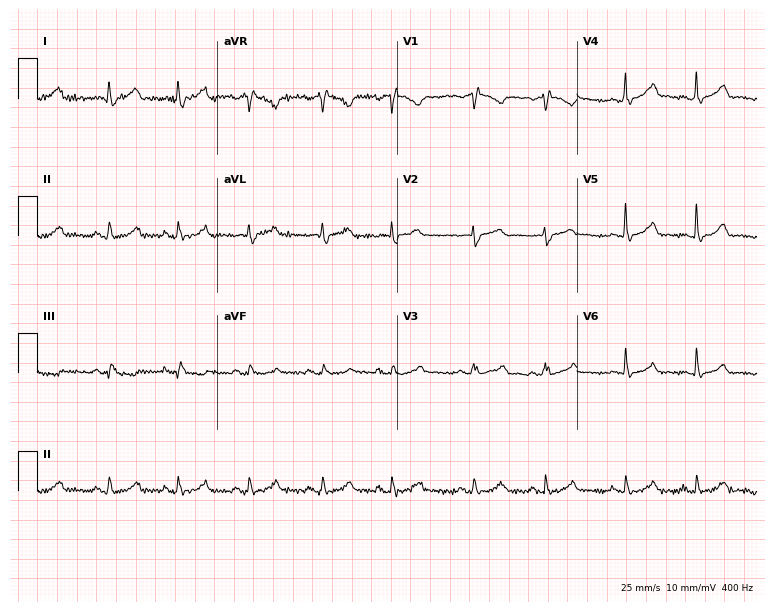
Standard 12-lead ECG recorded from a 69-year-old man (7.3-second recording at 400 Hz). None of these six findings is recorded: first-degree AV block, right bundle branch block, left bundle branch block, sinus bradycardia, atrial fibrillation, sinus tachycardia. Other findings, if any, are not listed.